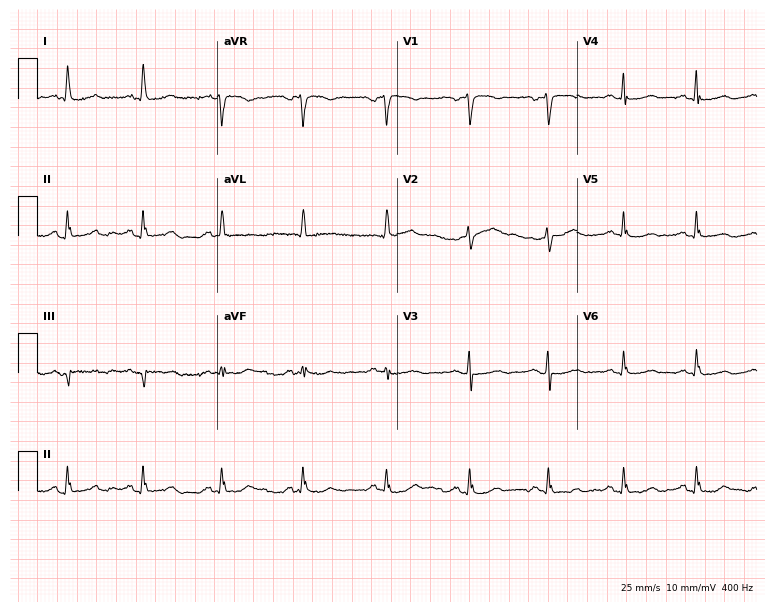
ECG (7.3-second recording at 400 Hz) — a male, 67 years old. Screened for six findings — first-degree AV block, right bundle branch block (RBBB), left bundle branch block (LBBB), sinus bradycardia, atrial fibrillation (AF), sinus tachycardia — none is recorded. Findings outside these six are not listed.